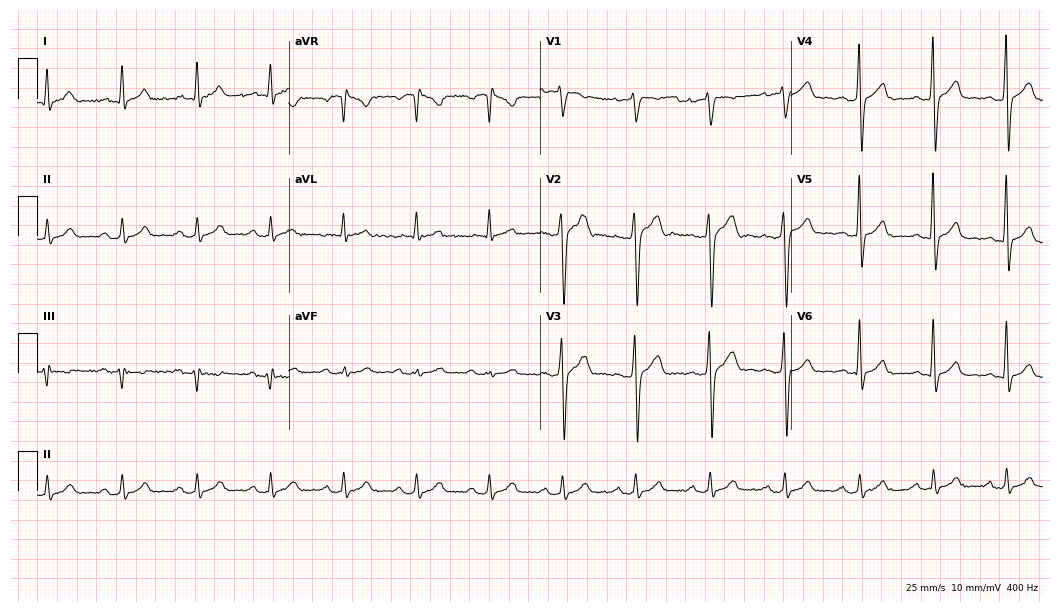
Electrocardiogram, a 46-year-old man. Of the six screened findings (first-degree AV block, right bundle branch block, left bundle branch block, sinus bradycardia, atrial fibrillation, sinus tachycardia), none is recorded.